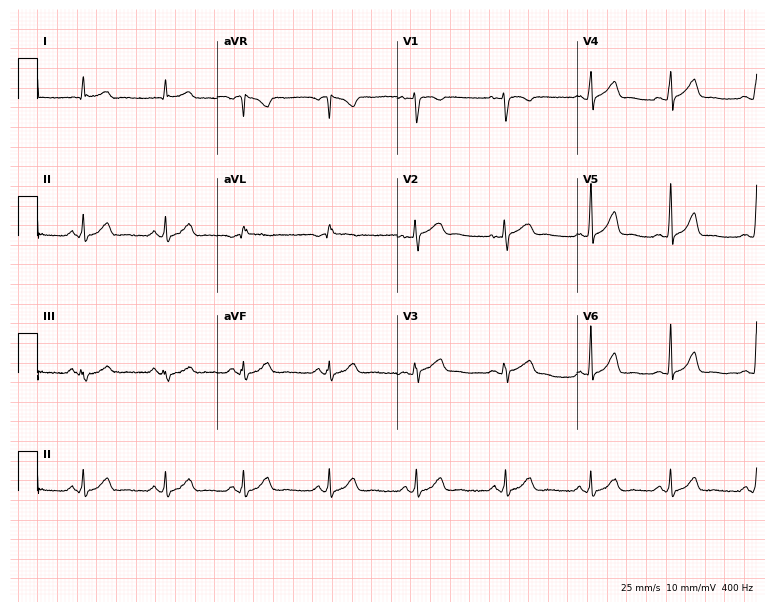
12-lead ECG from a female patient, 41 years old. Labelled as a normal ECG.